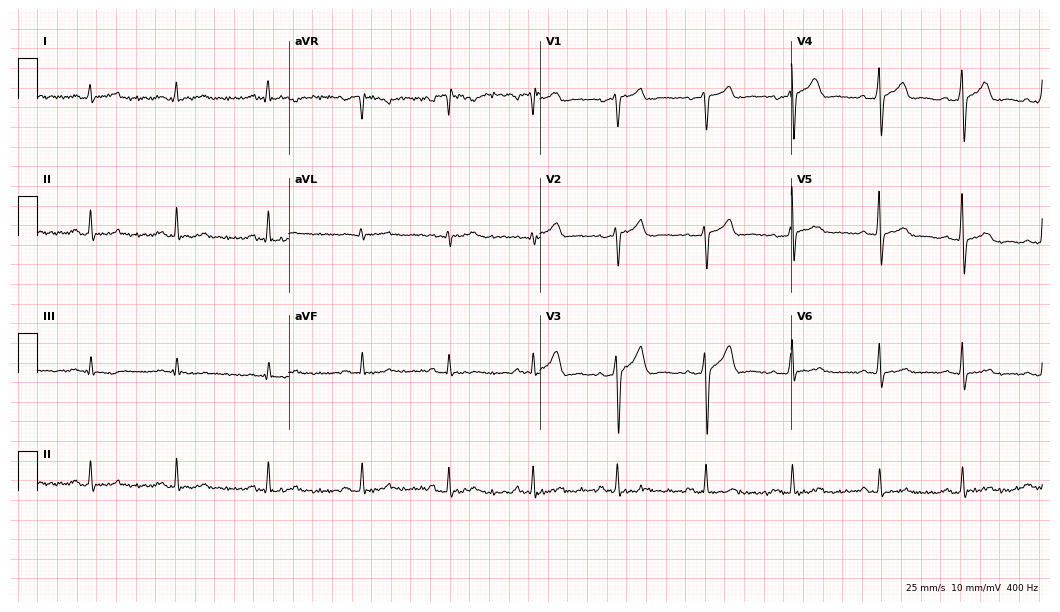
Electrocardiogram, a 37-year-old male. Overall reading on record: normal ECG.